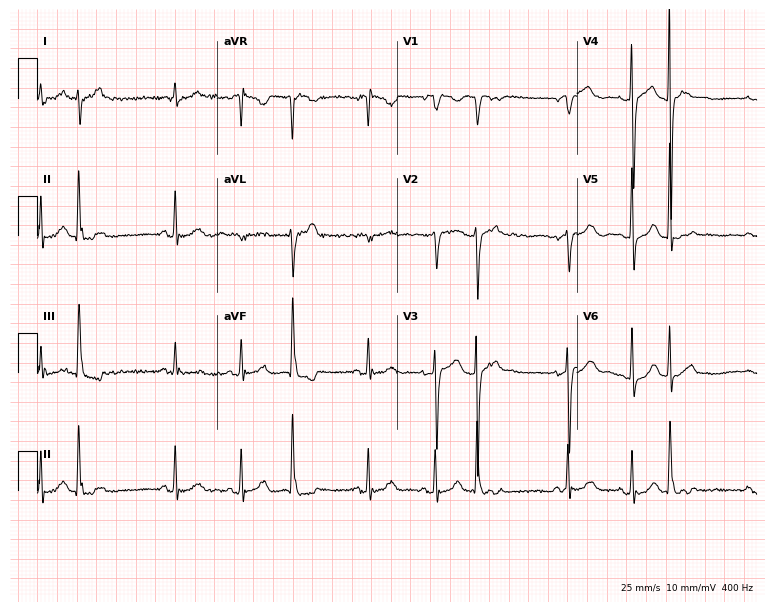
12-lead ECG from an 80-year-old female. Screened for six findings — first-degree AV block, right bundle branch block, left bundle branch block, sinus bradycardia, atrial fibrillation, sinus tachycardia — none is recorded.